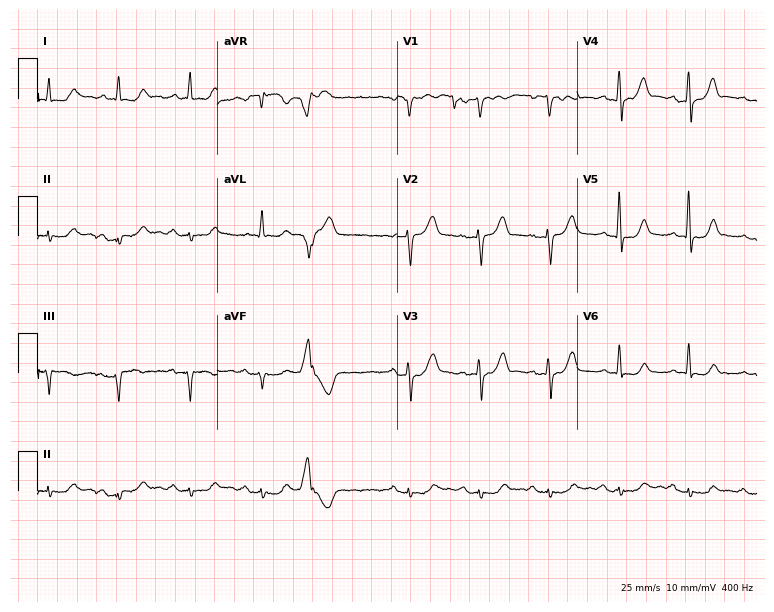
ECG — a 64-year-old male patient. Screened for six findings — first-degree AV block, right bundle branch block, left bundle branch block, sinus bradycardia, atrial fibrillation, sinus tachycardia — none is recorded. Other findings, if any, are not listed.